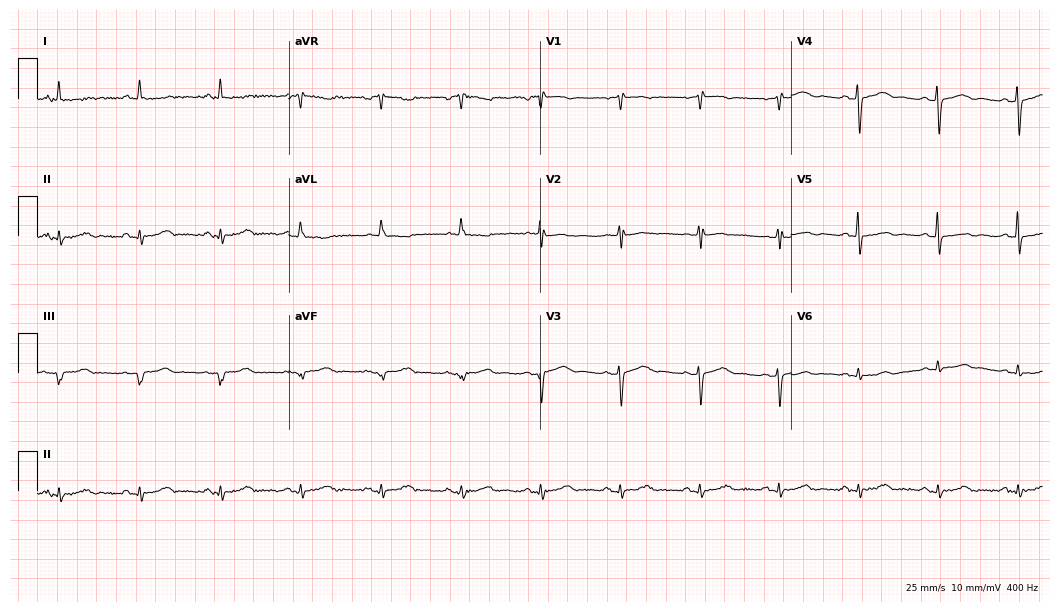
Resting 12-lead electrocardiogram. Patient: an 80-year-old woman. None of these six findings is recorded: first-degree AV block, right bundle branch block, left bundle branch block, sinus bradycardia, atrial fibrillation, sinus tachycardia. Findings outside these six are not listed.